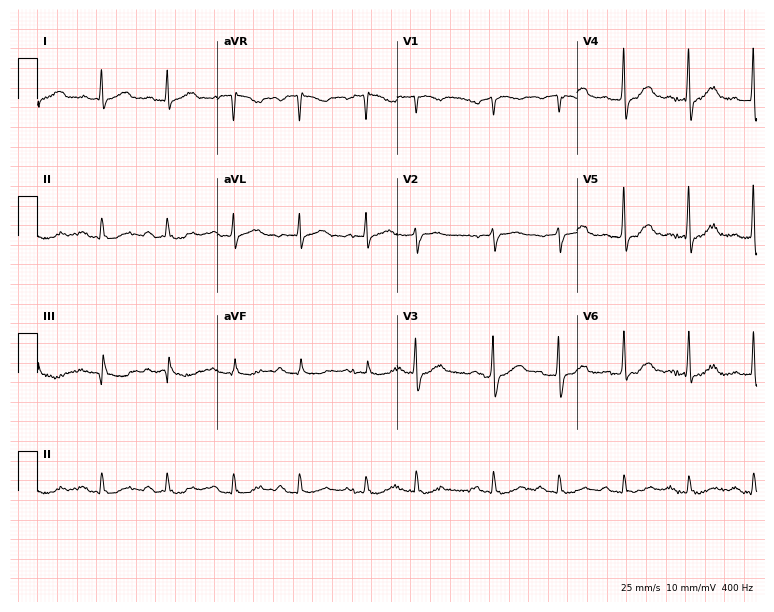
Standard 12-lead ECG recorded from a female, 59 years old (7.3-second recording at 400 Hz). Read as a normal ECG.